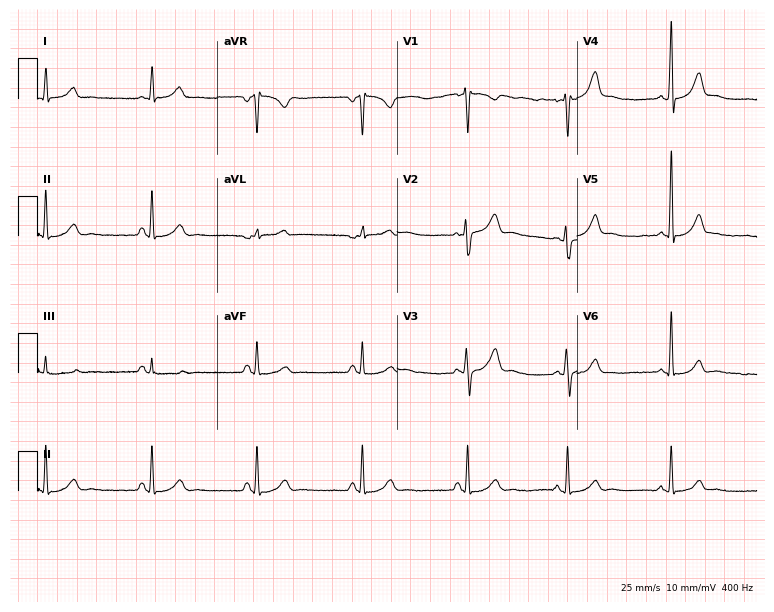
Resting 12-lead electrocardiogram. Patient: a female, 32 years old. None of these six findings is recorded: first-degree AV block, right bundle branch block, left bundle branch block, sinus bradycardia, atrial fibrillation, sinus tachycardia.